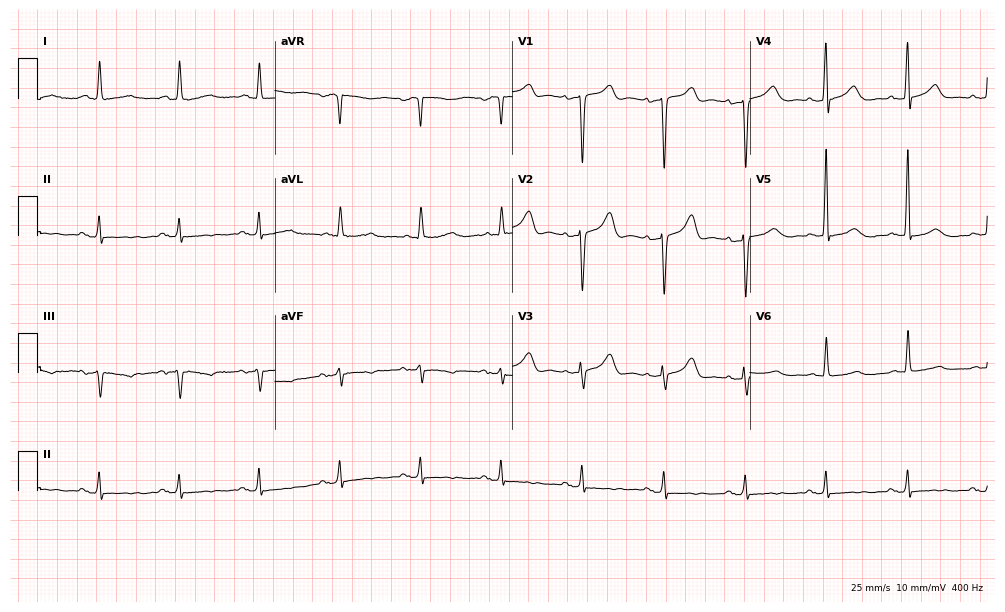
Electrocardiogram, an 82-year-old male. Of the six screened findings (first-degree AV block, right bundle branch block (RBBB), left bundle branch block (LBBB), sinus bradycardia, atrial fibrillation (AF), sinus tachycardia), none is recorded. Findings outside these six are not listed.